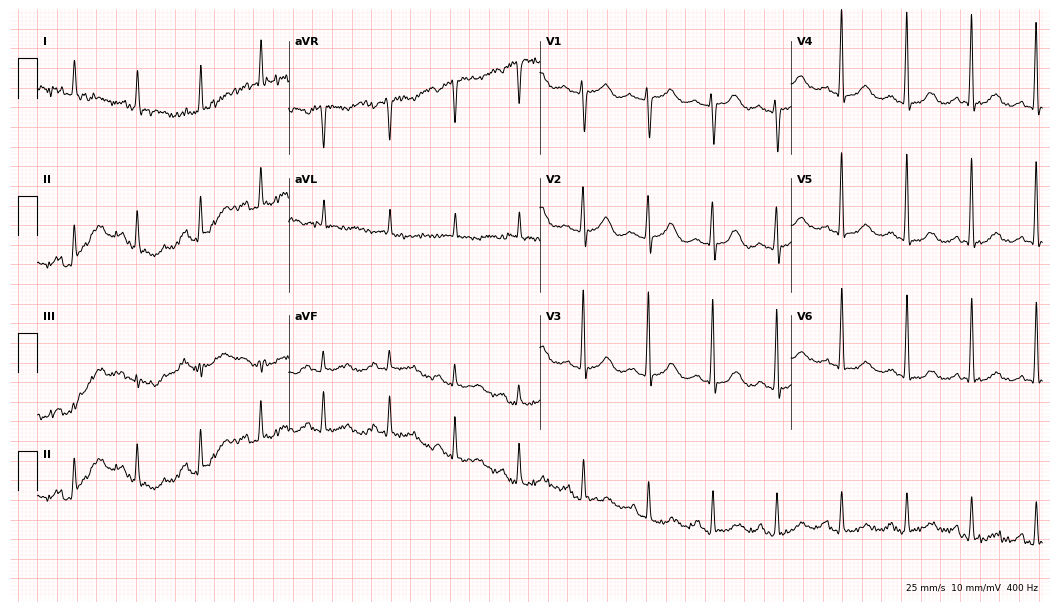
12-lead ECG from a female, 78 years old. Screened for six findings — first-degree AV block, right bundle branch block, left bundle branch block, sinus bradycardia, atrial fibrillation, sinus tachycardia — none is recorded.